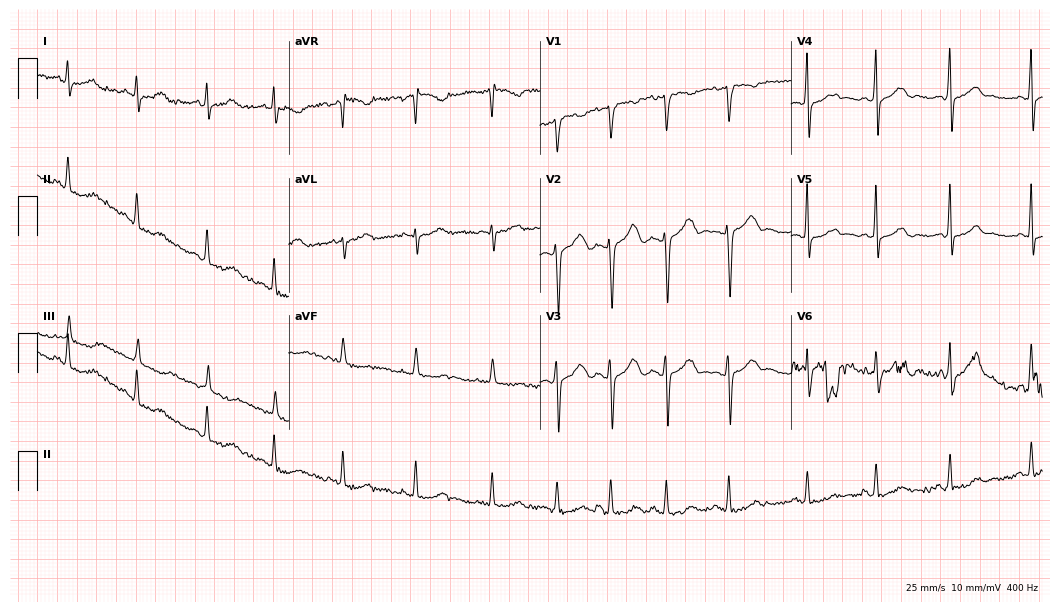
Resting 12-lead electrocardiogram (10.2-second recording at 400 Hz). Patient: a 22-year-old female. None of these six findings is recorded: first-degree AV block, right bundle branch block, left bundle branch block, sinus bradycardia, atrial fibrillation, sinus tachycardia.